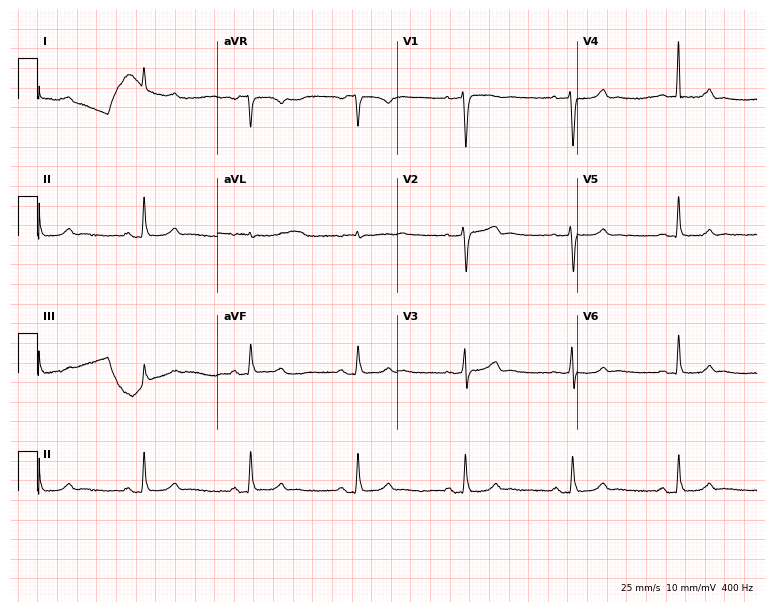
Standard 12-lead ECG recorded from a 70-year-old woman. Read as a normal ECG.